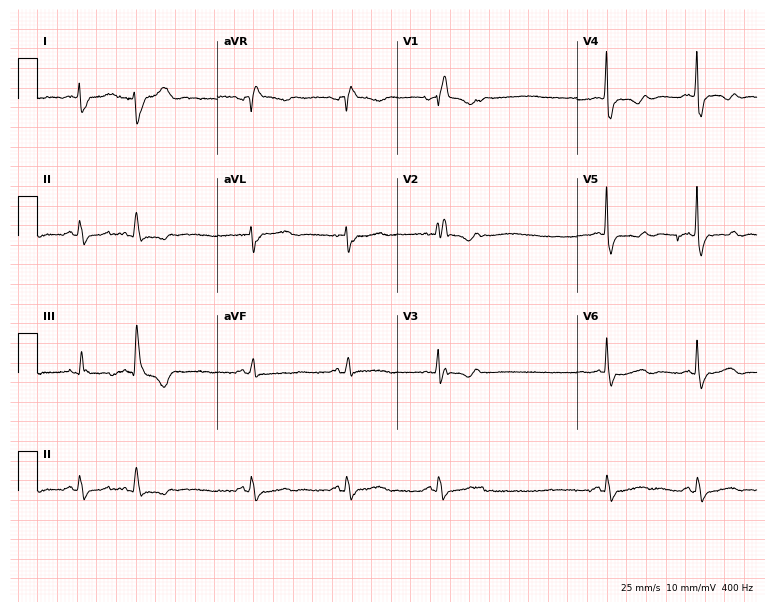
Resting 12-lead electrocardiogram. Patient: a 78-year-old woman. The tracing shows right bundle branch block.